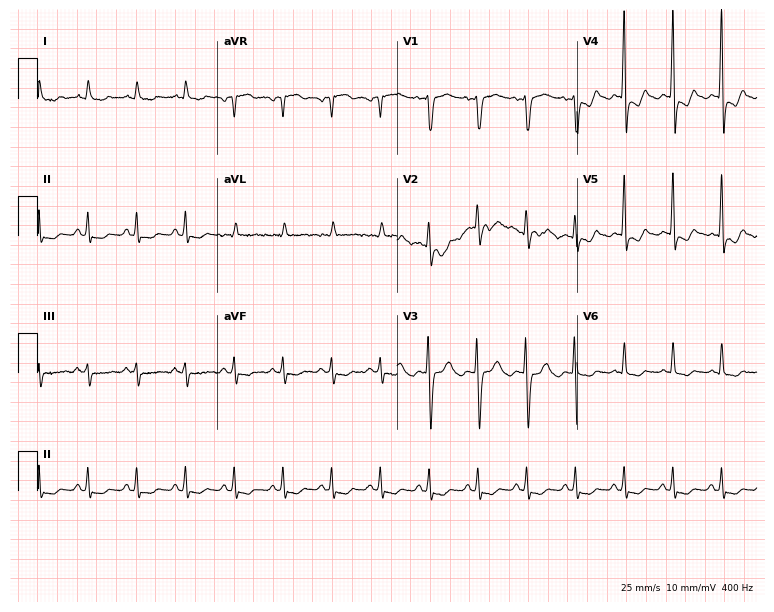
12-lead ECG from a 64-year-old female. Screened for six findings — first-degree AV block, right bundle branch block, left bundle branch block, sinus bradycardia, atrial fibrillation, sinus tachycardia — none is recorded.